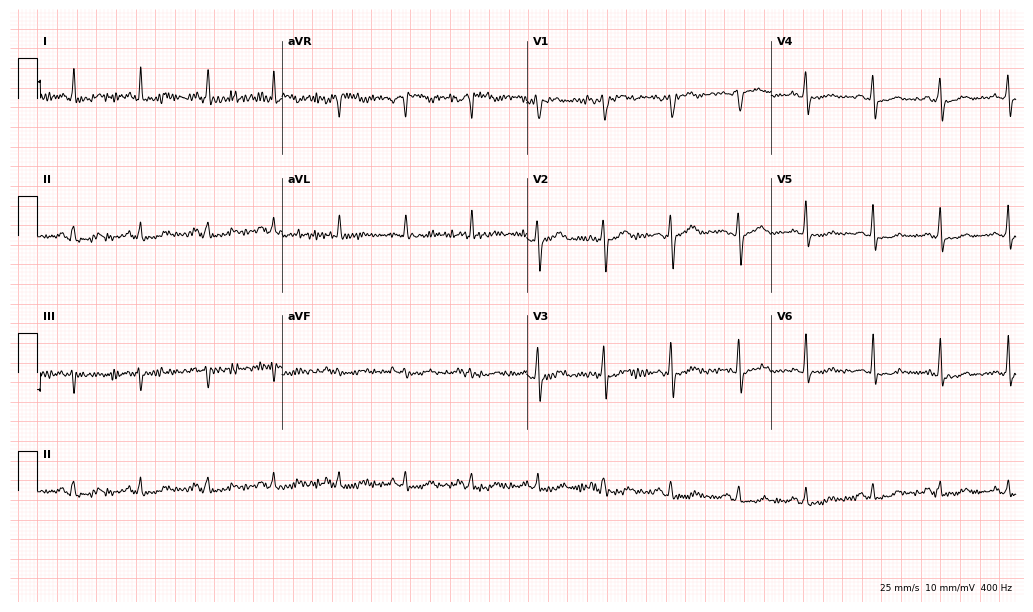
Resting 12-lead electrocardiogram. Patient: a 58-year-old female. None of these six findings is recorded: first-degree AV block, right bundle branch block (RBBB), left bundle branch block (LBBB), sinus bradycardia, atrial fibrillation (AF), sinus tachycardia.